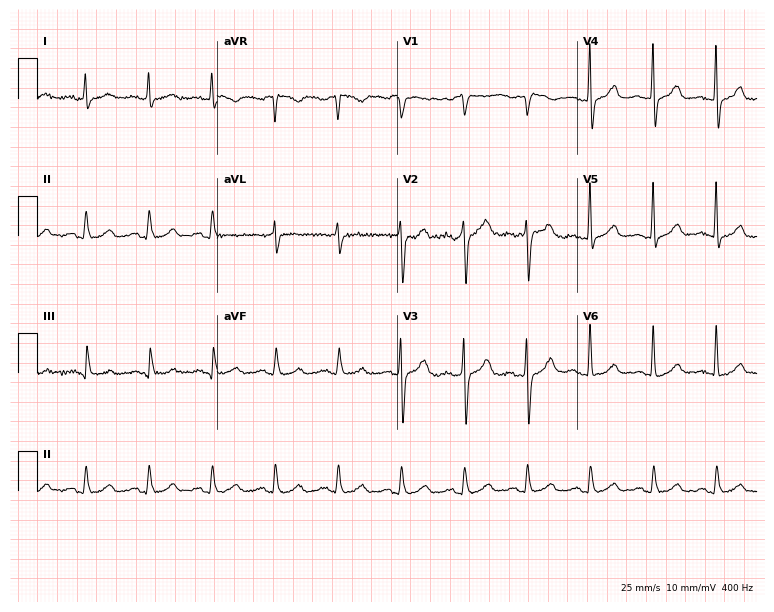
Standard 12-lead ECG recorded from a female, 62 years old (7.3-second recording at 400 Hz). Read as a normal ECG.